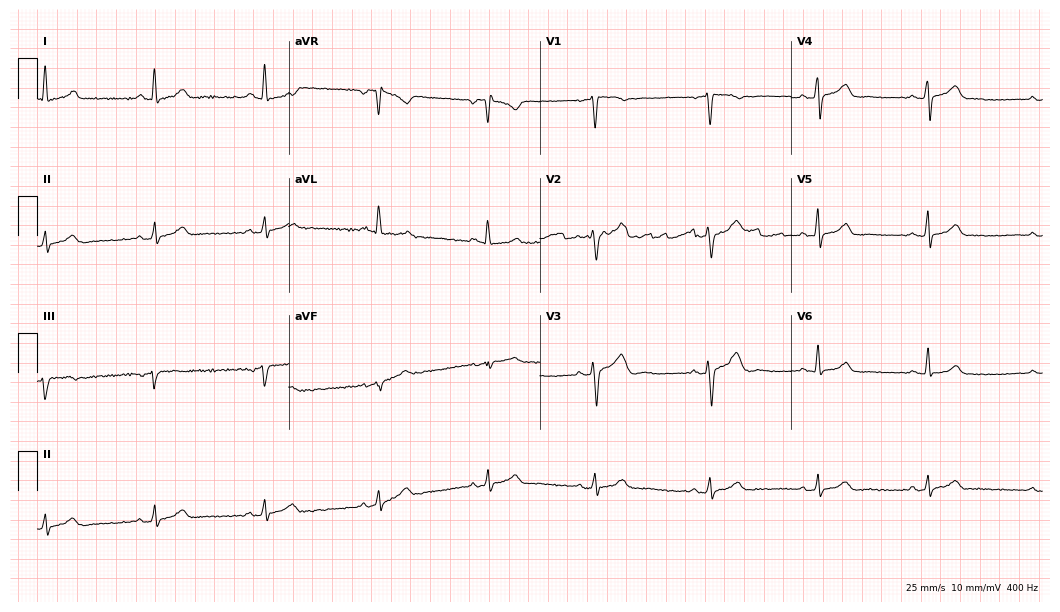
12-lead ECG from a 33-year-old female patient (10.2-second recording at 400 Hz). Recorded interpretation: within normal limits.